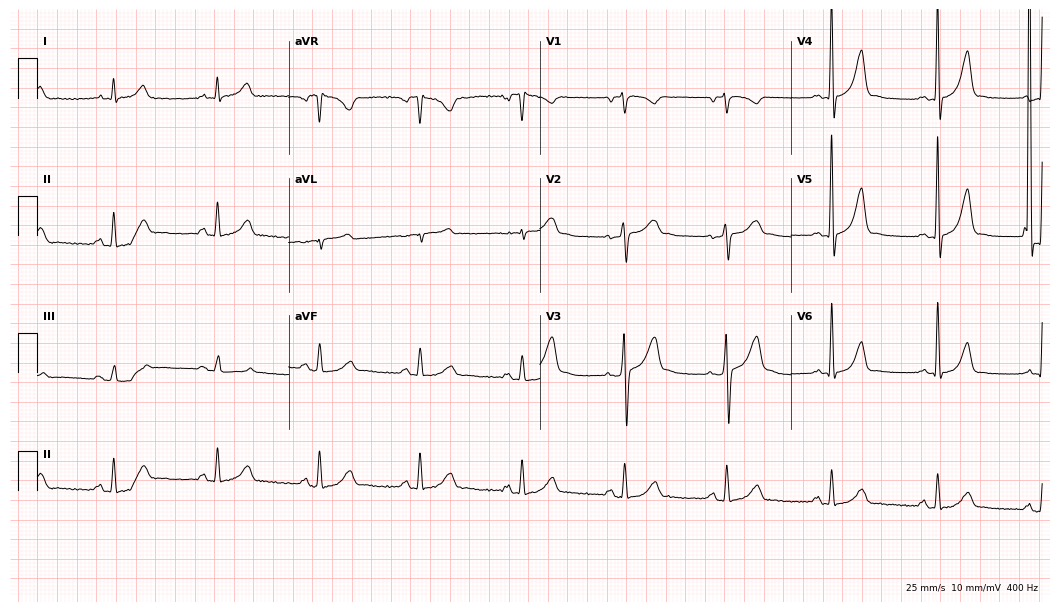
Electrocardiogram, a 59-year-old male. Overall reading on record: normal ECG.